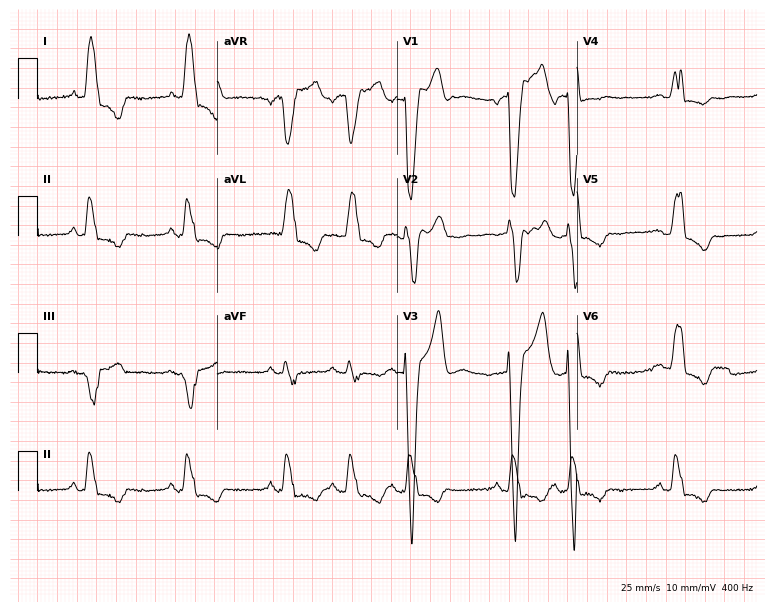
12-lead ECG from a woman, 85 years old. Shows left bundle branch block (LBBB), atrial fibrillation (AF).